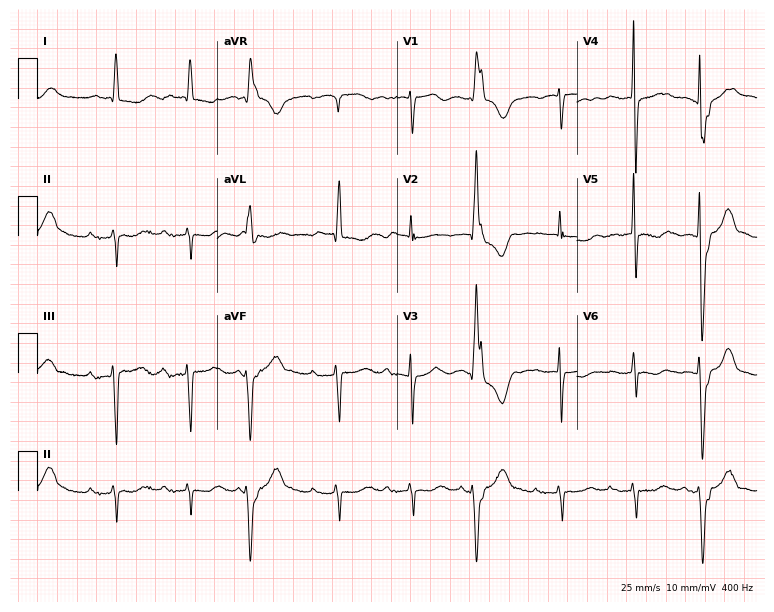
12-lead ECG from a female, 85 years old. No first-degree AV block, right bundle branch block, left bundle branch block, sinus bradycardia, atrial fibrillation or sinus tachycardia recorded for this tracing. Findings outside these six are not listed.